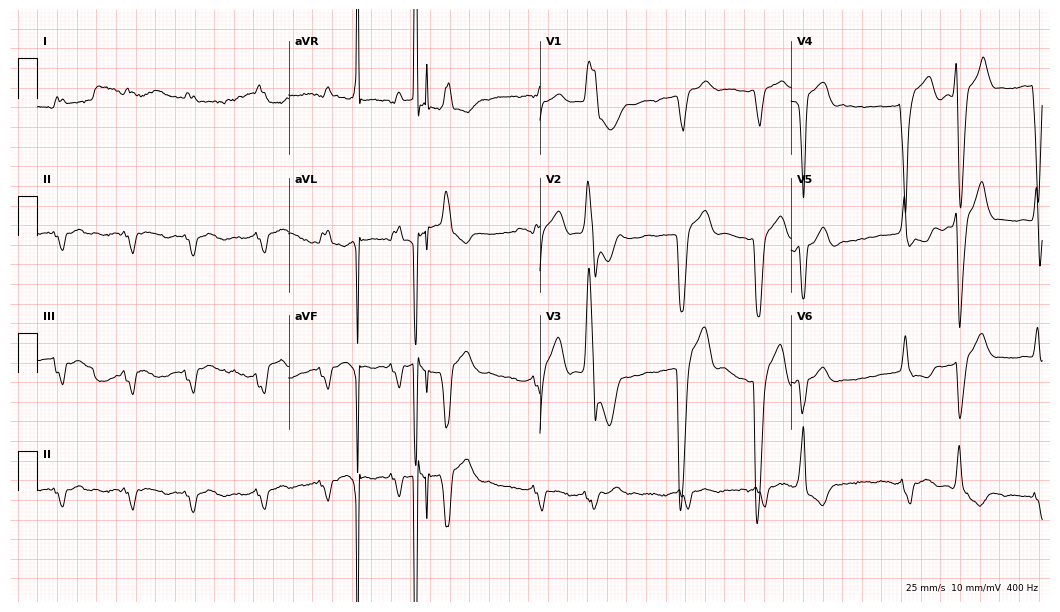
Resting 12-lead electrocardiogram. Patient: a male, 75 years old. None of these six findings is recorded: first-degree AV block, right bundle branch block, left bundle branch block, sinus bradycardia, atrial fibrillation, sinus tachycardia.